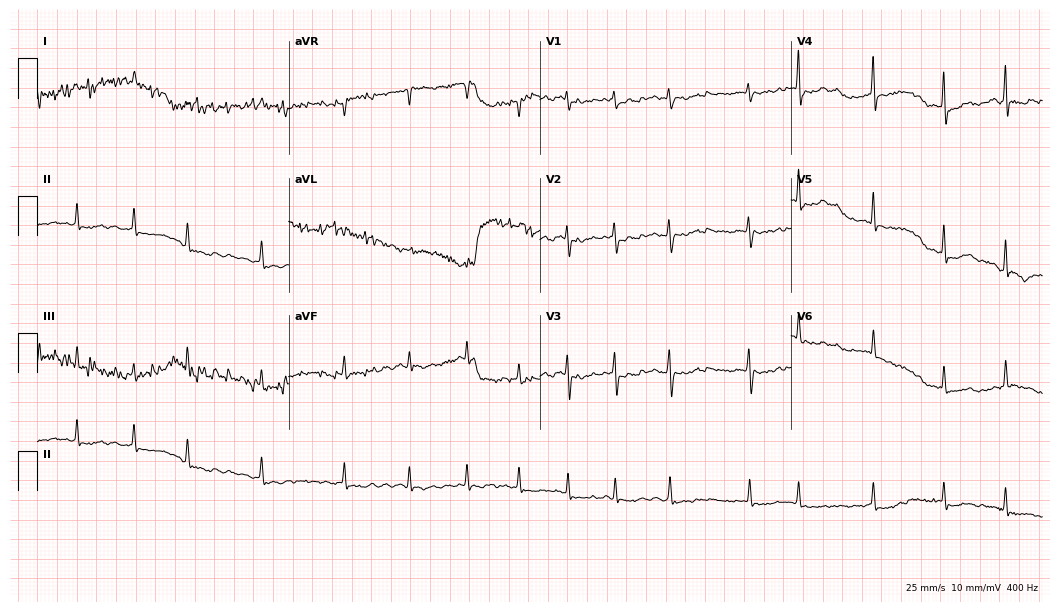
Resting 12-lead electrocardiogram (10.2-second recording at 400 Hz). Patient: a female, 75 years old. None of these six findings is recorded: first-degree AV block, right bundle branch block, left bundle branch block, sinus bradycardia, atrial fibrillation, sinus tachycardia. Other findings, if any, are not listed.